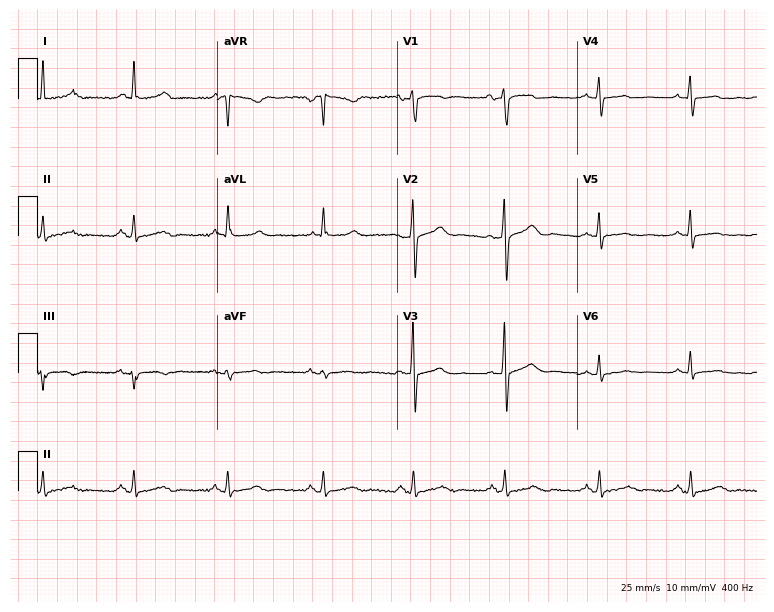
ECG — a female patient, 54 years old. Labelled as a normal ECG.